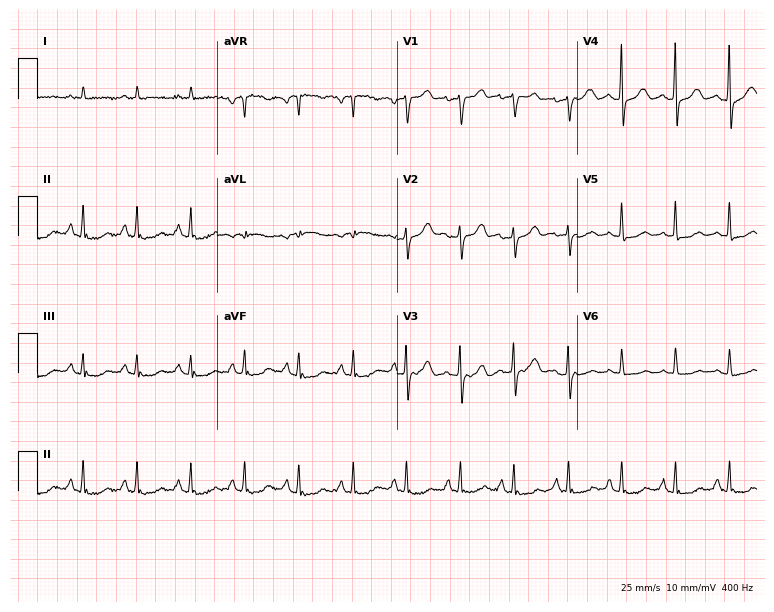
12-lead ECG (7.3-second recording at 400 Hz) from a female, 84 years old. Findings include sinus tachycardia (a sinus rate of 100 beats per minute or more).